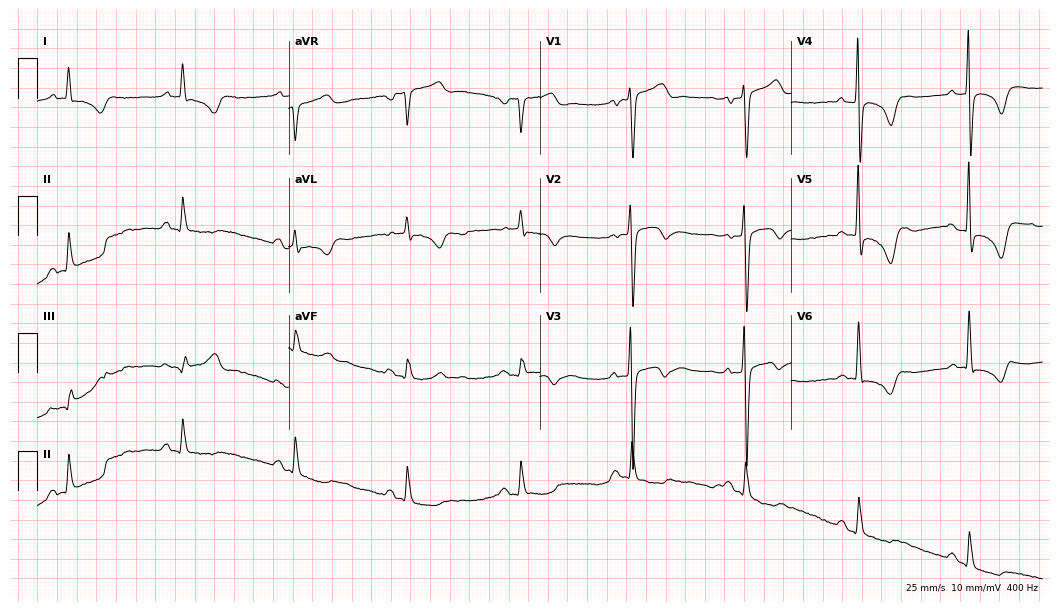
12-lead ECG from a 63-year-old male patient (10.2-second recording at 400 Hz). No first-degree AV block, right bundle branch block (RBBB), left bundle branch block (LBBB), sinus bradycardia, atrial fibrillation (AF) or sinus tachycardia recorded for this tracing. Other findings, if any, are not listed.